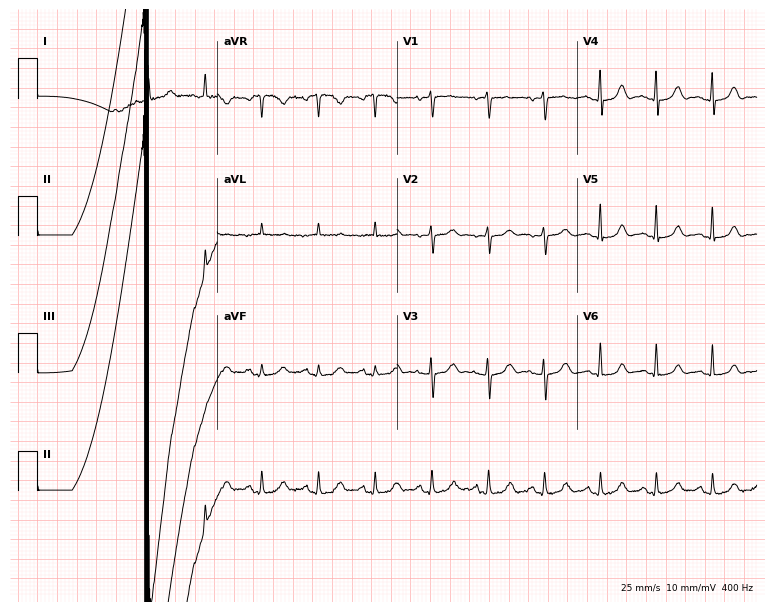
12-lead ECG from a 71-year-old female (7.3-second recording at 400 Hz). Shows sinus tachycardia (a sinus rate of 100 beats per minute or more).